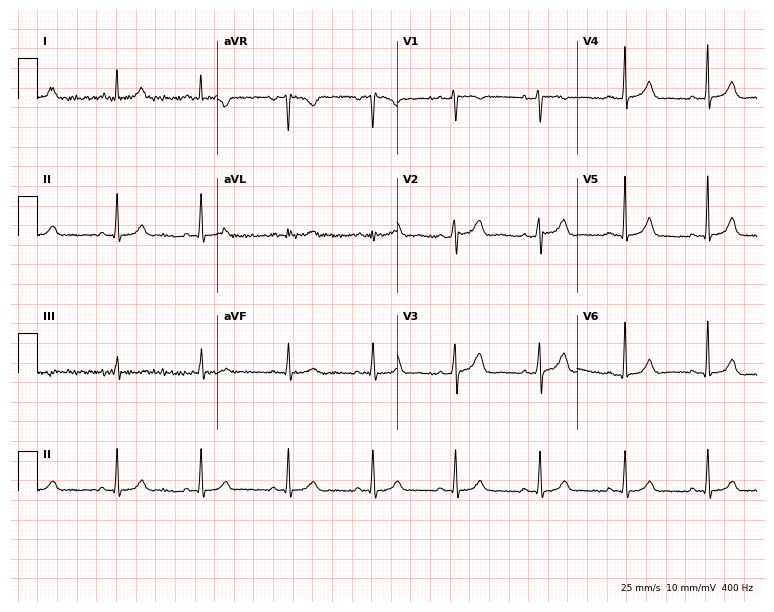
Resting 12-lead electrocardiogram (7.3-second recording at 400 Hz). Patient: a 37-year-old female. Read as a normal ECG.